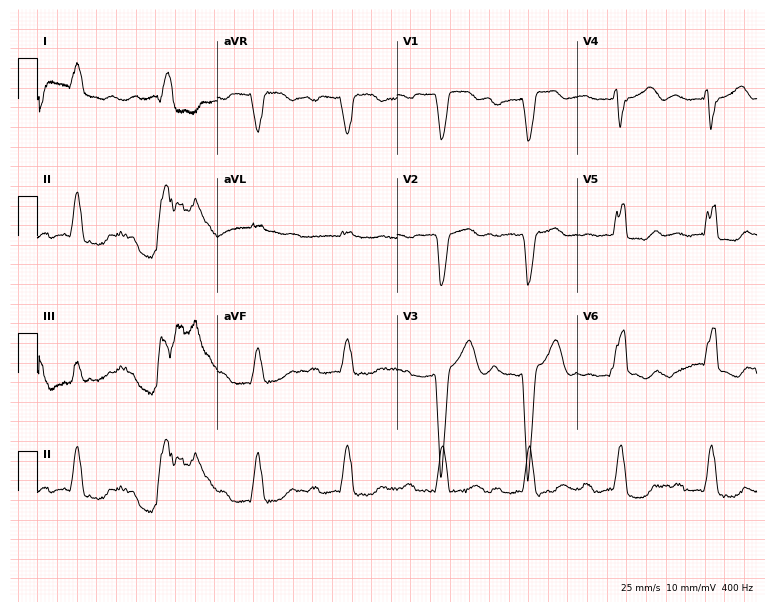
Standard 12-lead ECG recorded from a female patient, 83 years old. The tracing shows first-degree AV block, left bundle branch block.